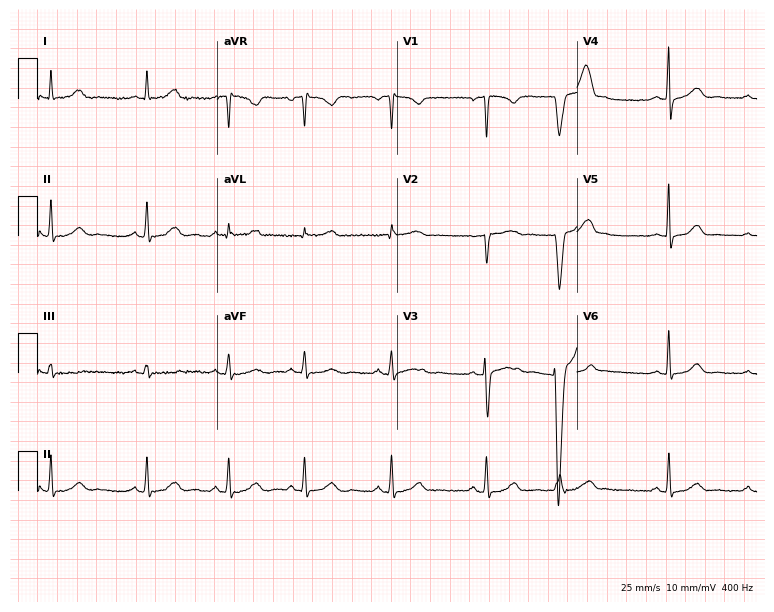
Standard 12-lead ECG recorded from a female, 42 years old (7.3-second recording at 400 Hz). None of these six findings is recorded: first-degree AV block, right bundle branch block, left bundle branch block, sinus bradycardia, atrial fibrillation, sinus tachycardia. Findings outside these six are not listed.